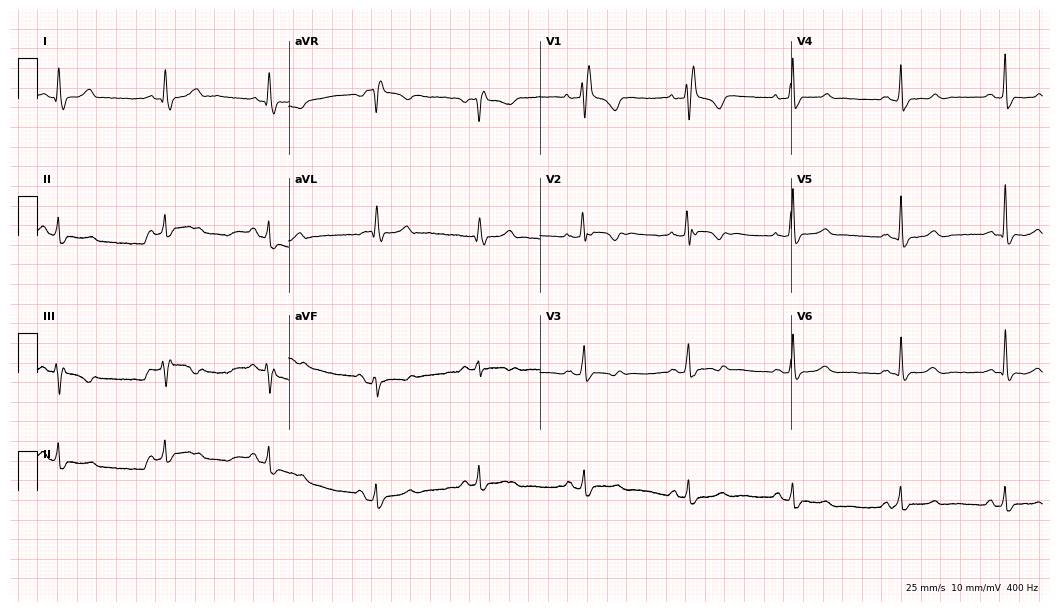
Standard 12-lead ECG recorded from a female, 62 years old. The tracing shows right bundle branch block.